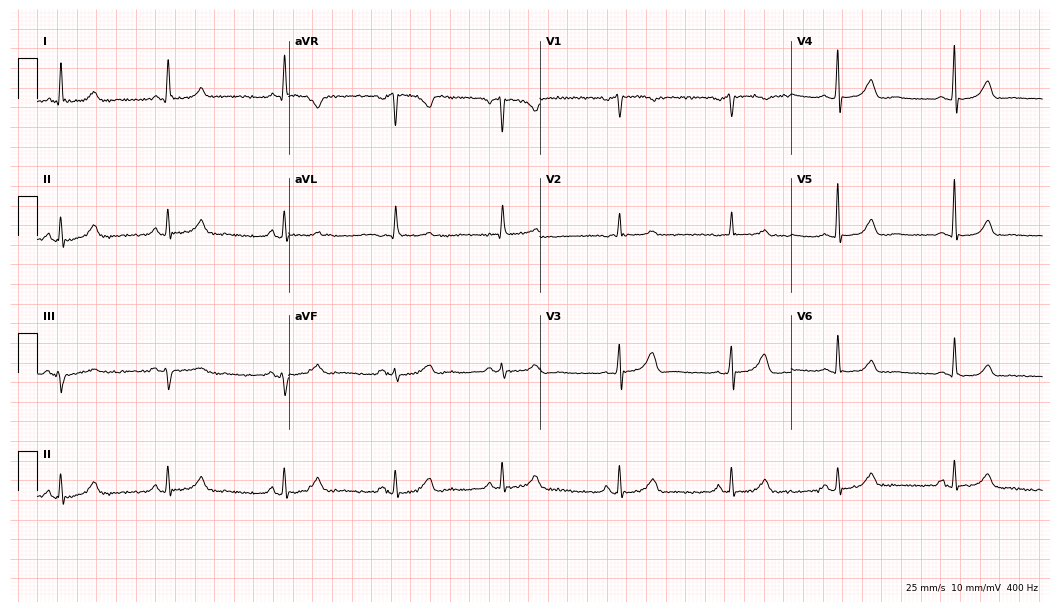
12-lead ECG from a female, 84 years old (10.2-second recording at 400 Hz). Recorded interpretation: within normal limits.